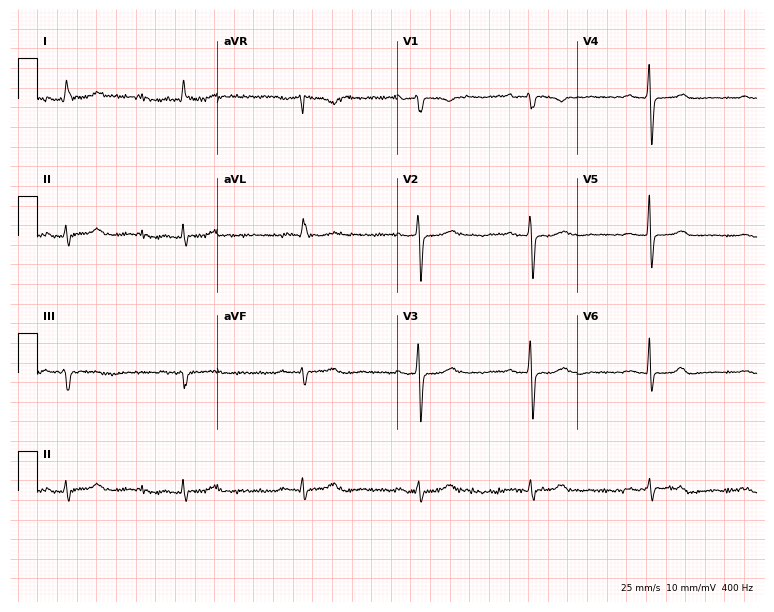
12-lead ECG (7.3-second recording at 400 Hz) from an 82-year-old male. Screened for six findings — first-degree AV block, right bundle branch block, left bundle branch block, sinus bradycardia, atrial fibrillation, sinus tachycardia — none is recorded.